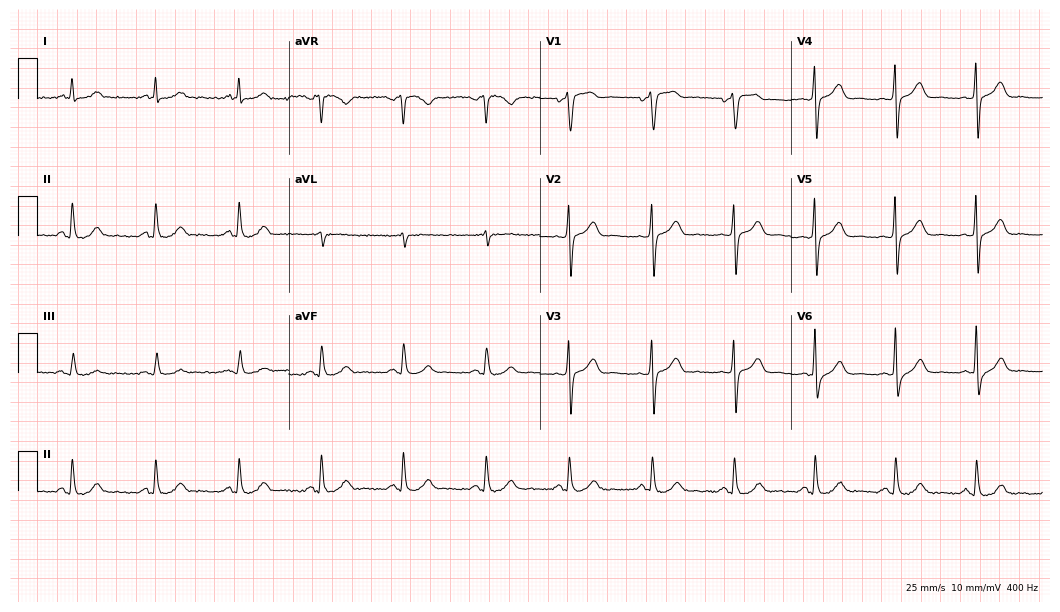
Standard 12-lead ECG recorded from a 69-year-old male patient (10.2-second recording at 400 Hz). Read as a normal ECG.